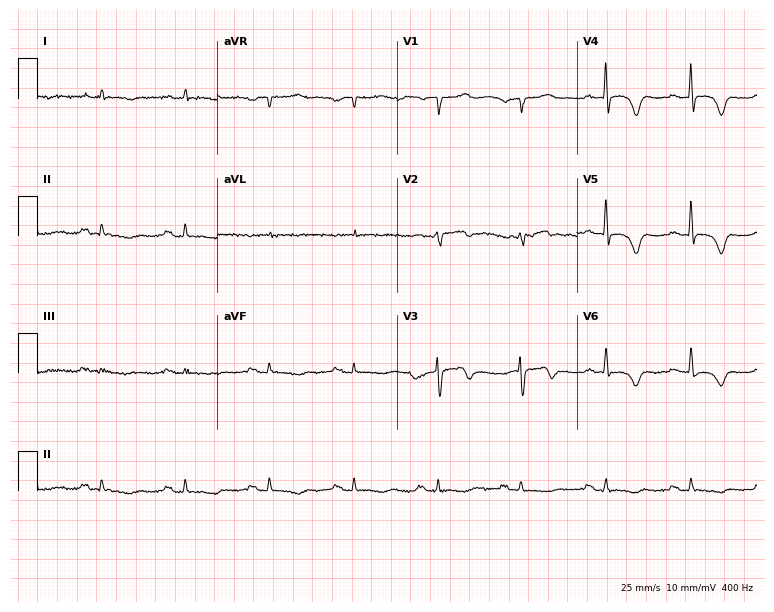
12-lead ECG from an 85-year-old male patient. Recorded interpretation: within normal limits.